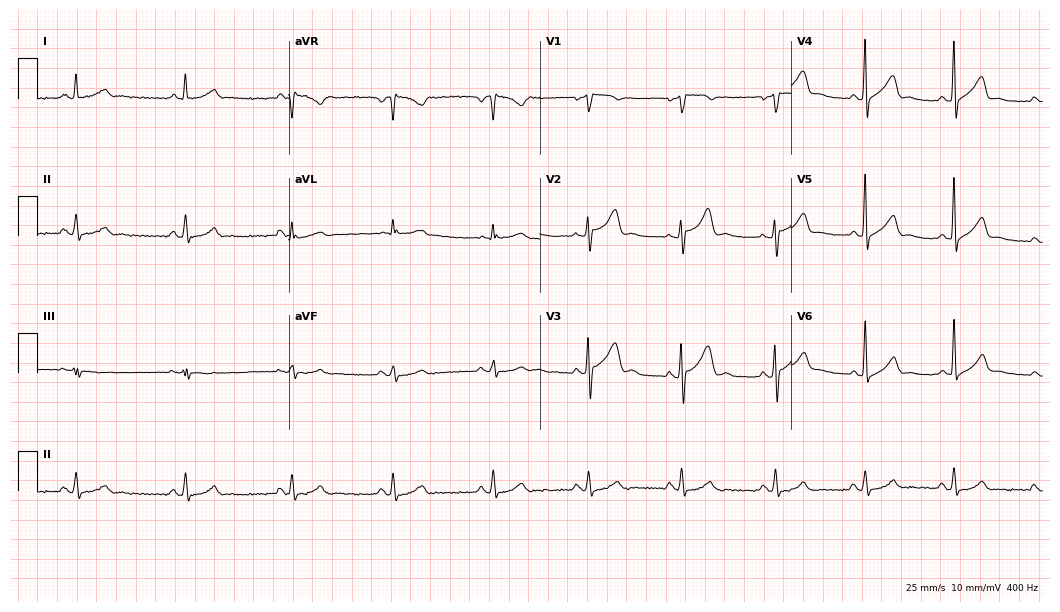
Electrocardiogram, a 57-year-old male. Of the six screened findings (first-degree AV block, right bundle branch block (RBBB), left bundle branch block (LBBB), sinus bradycardia, atrial fibrillation (AF), sinus tachycardia), none is recorded.